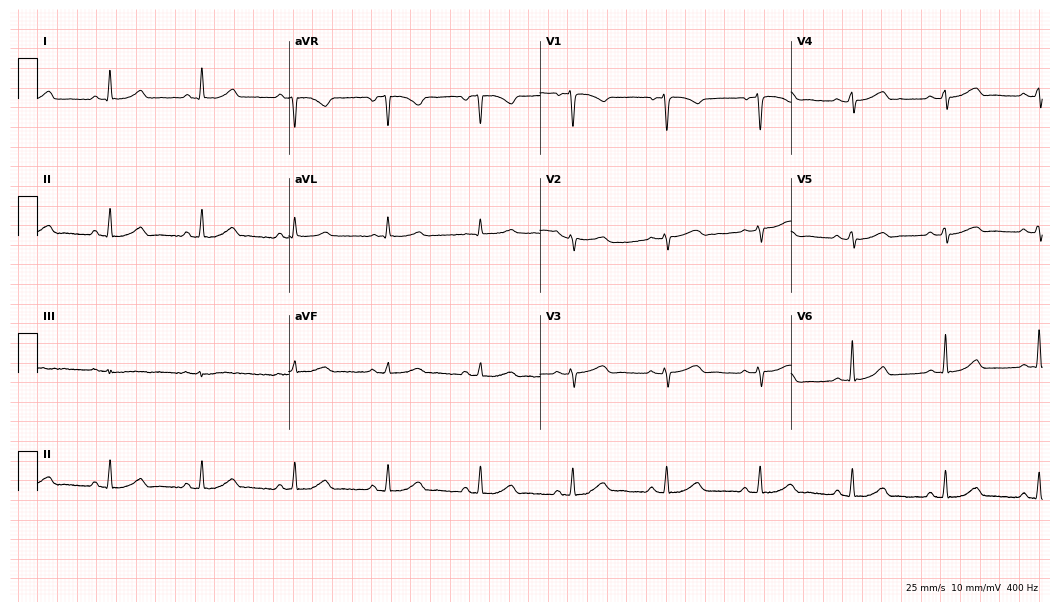
ECG — a 47-year-old female. Labelled as a normal ECG.